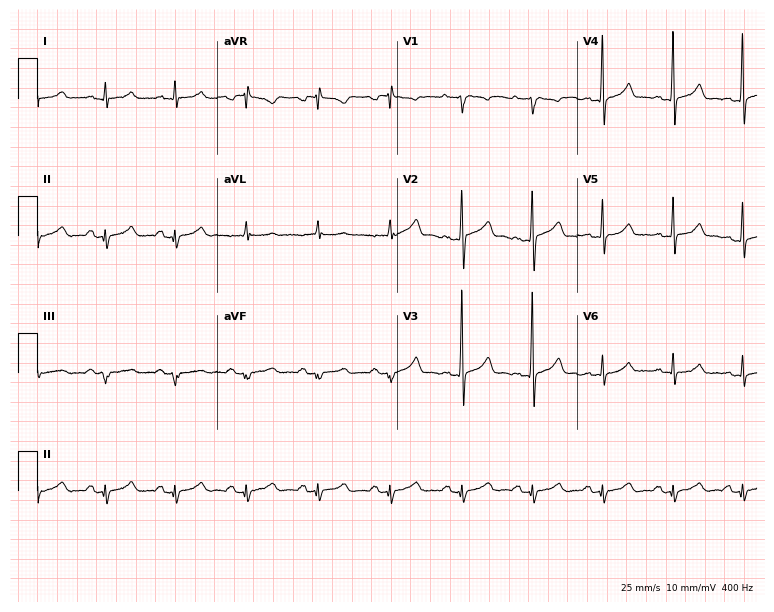
12-lead ECG from a male, 61 years old. Screened for six findings — first-degree AV block, right bundle branch block, left bundle branch block, sinus bradycardia, atrial fibrillation, sinus tachycardia — none is recorded.